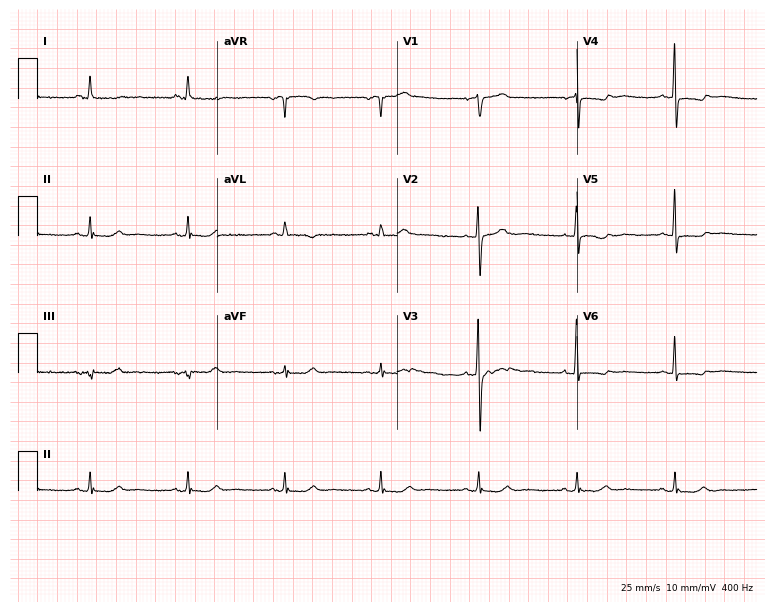
Standard 12-lead ECG recorded from a 60-year-old female patient (7.3-second recording at 400 Hz). None of these six findings is recorded: first-degree AV block, right bundle branch block, left bundle branch block, sinus bradycardia, atrial fibrillation, sinus tachycardia. Other findings, if any, are not listed.